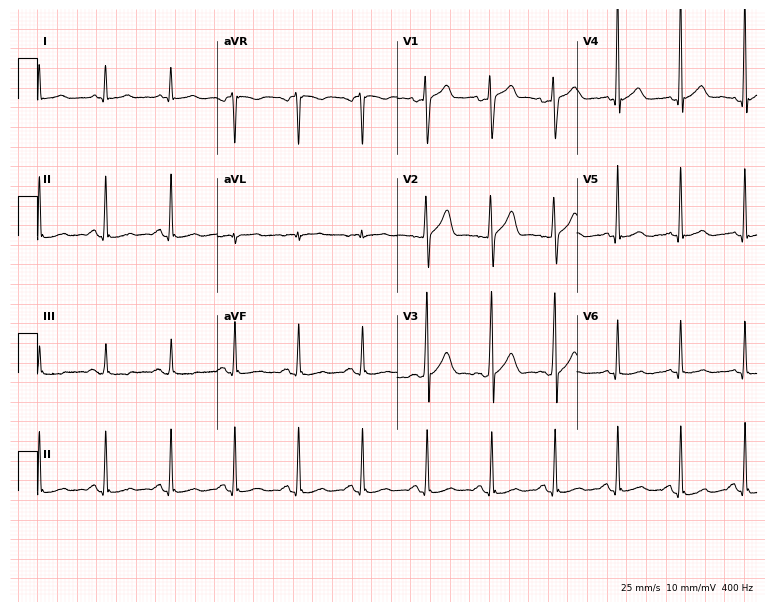
Resting 12-lead electrocardiogram (7.3-second recording at 400 Hz). Patient: a 59-year-old male. Read as a normal ECG.